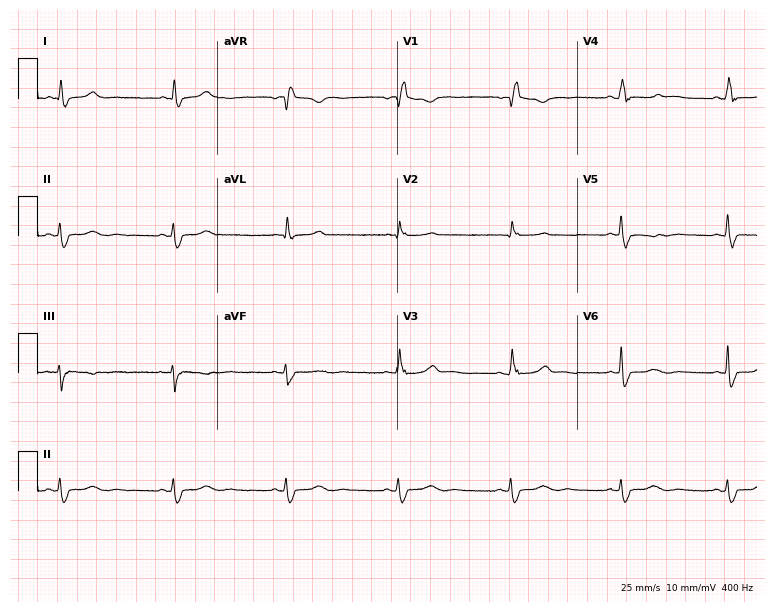
12-lead ECG from a 59-year-old male patient. No first-degree AV block, right bundle branch block, left bundle branch block, sinus bradycardia, atrial fibrillation or sinus tachycardia recorded for this tracing. Only these six findings were labelled.